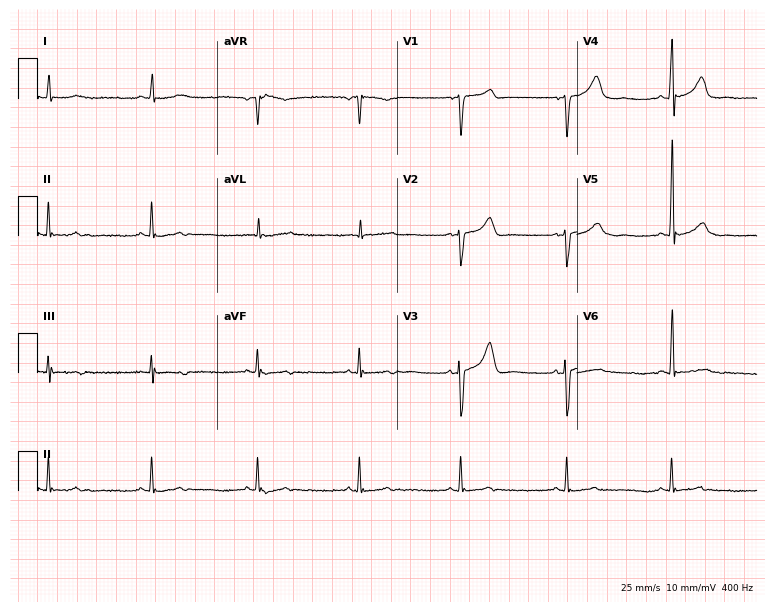
ECG — an 80-year-old male patient. Screened for six findings — first-degree AV block, right bundle branch block (RBBB), left bundle branch block (LBBB), sinus bradycardia, atrial fibrillation (AF), sinus tachycardia — none is recorded.